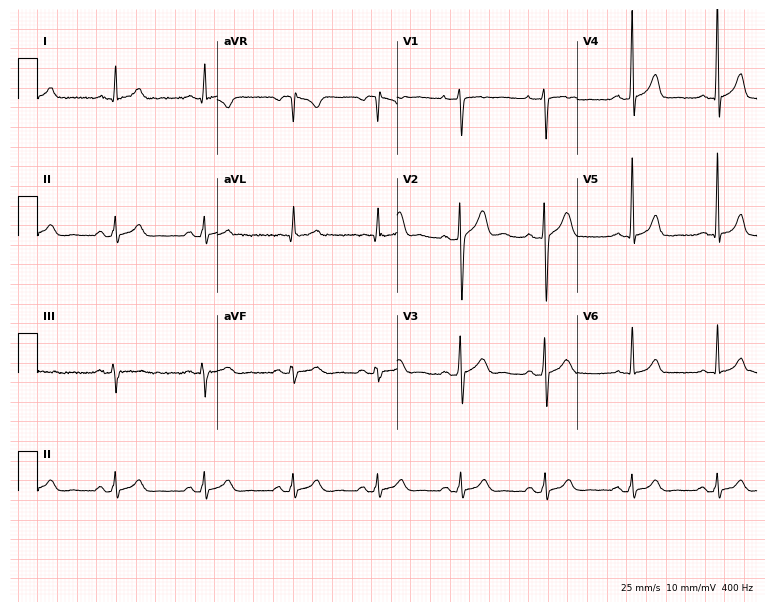
ECG — a male patient, 42 years old. Screened for six findings — first-degree AV block, right bundle branch block, left bundle branch block, sinus bradycardia, atrial fibrillation, sinus tachycardia — none is recorded.